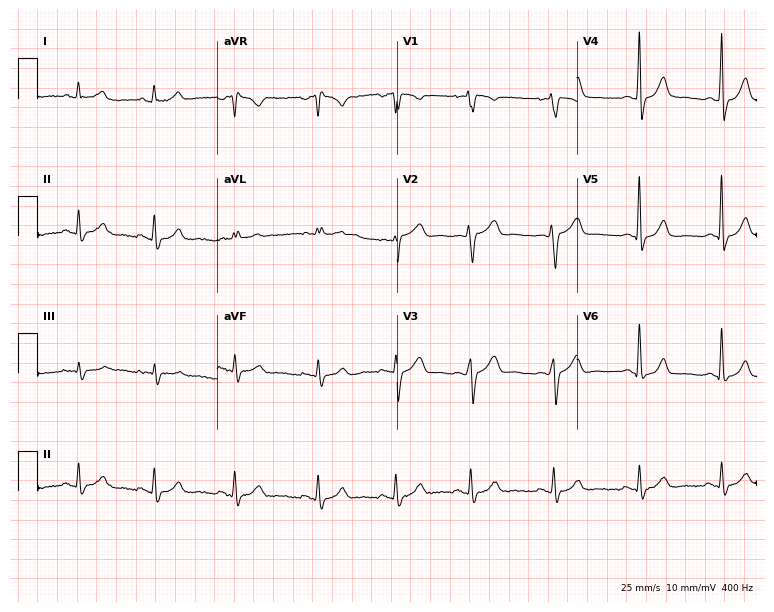
ECG — a female, 33 years old. Screened for six findings — first-degree AV block, right bundle branch block, left bundle branch block, sinus bradycardia, atrial fibrillation, sinus tachycardia — none is recorded. Other findings, if any, are not listed.